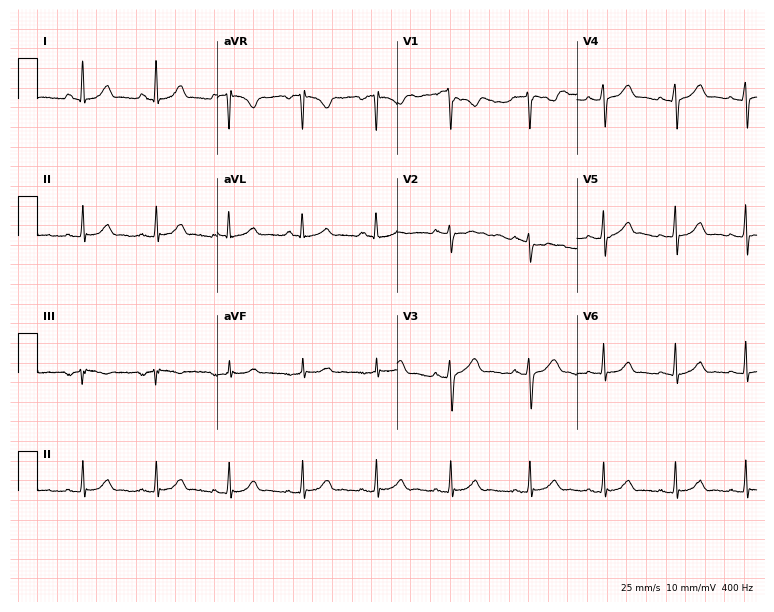
Standard 12-lead ECG recorded from a female, 33 years old (7.3-second recording at 400 Hz). None of these six findings is recorded: first-degree AV block, right bundle branch block, left bundle branch block, sinus bradycardia, atrial fibrillation, sinus tachycardia. Other findings, if any, are not listed.